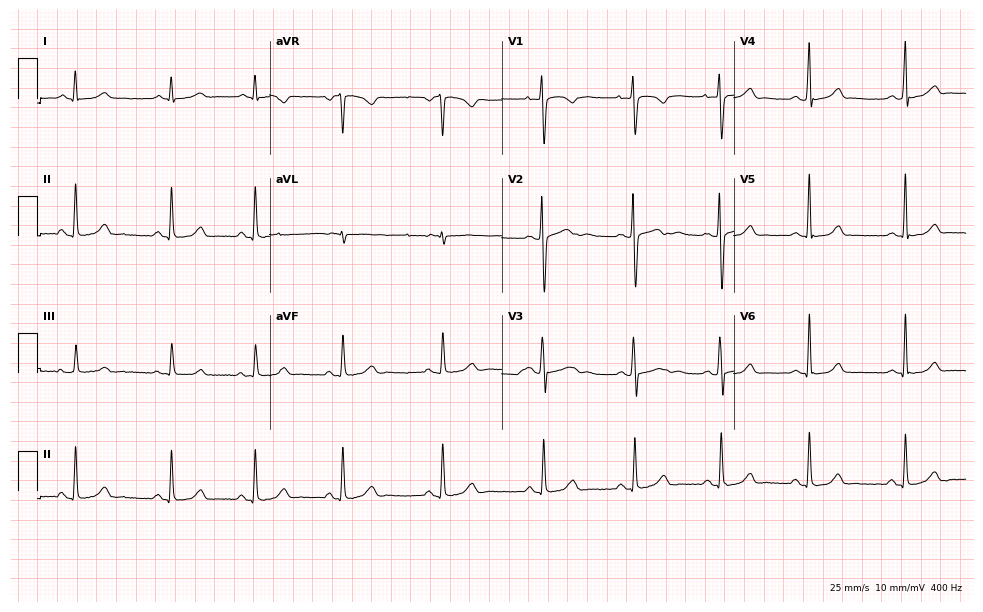
12-lead ECG (9.5-second recording at 400 Hz) from a 22-year-old female patient. Labelled as a normal ECG.